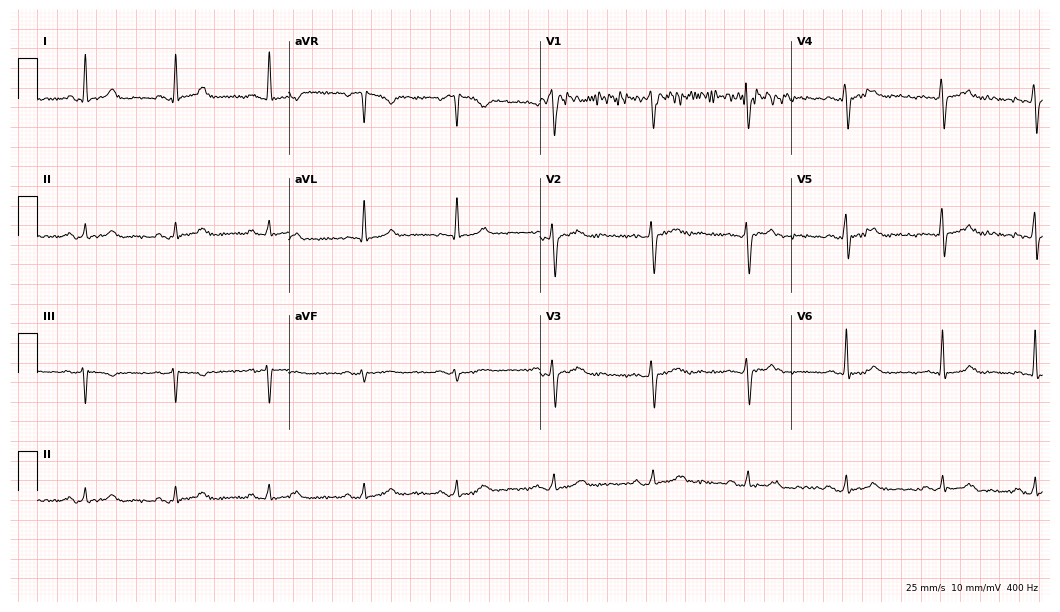
12-lead ECG (10.2-second recording at 400 Hz) from a female, 49 years old. Screened for six findings — first-degree AV block, right bundle branch block, left bundle branch block, sinus bradycardia, atrial fibrillation, sinus tachycardia — none is recorded. Other findings, if any, are not listed.